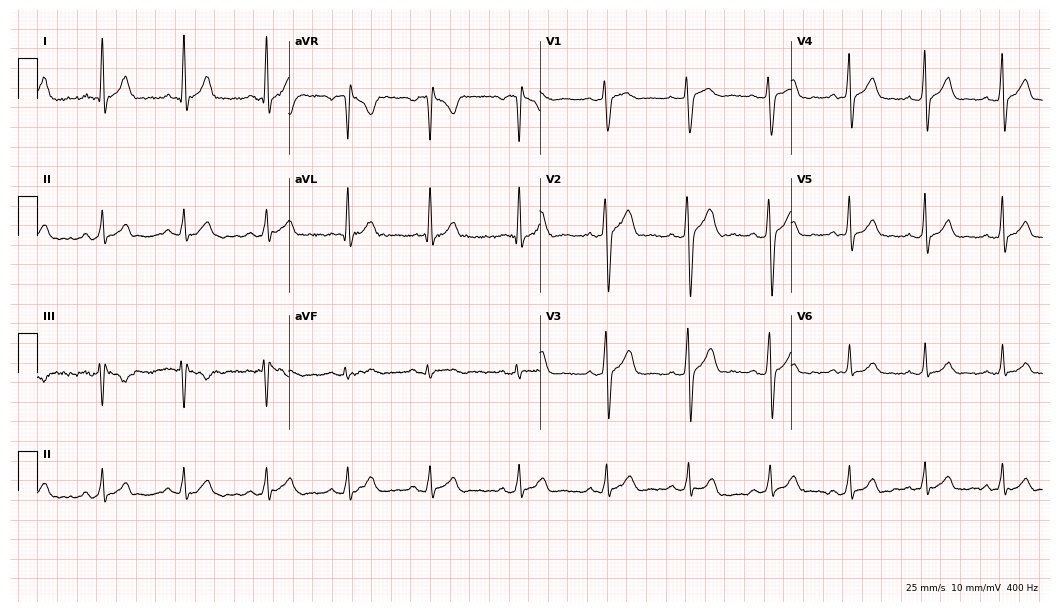
Electrocardiogram, a 25-year-old man. Overall reading on record: normal ECG.